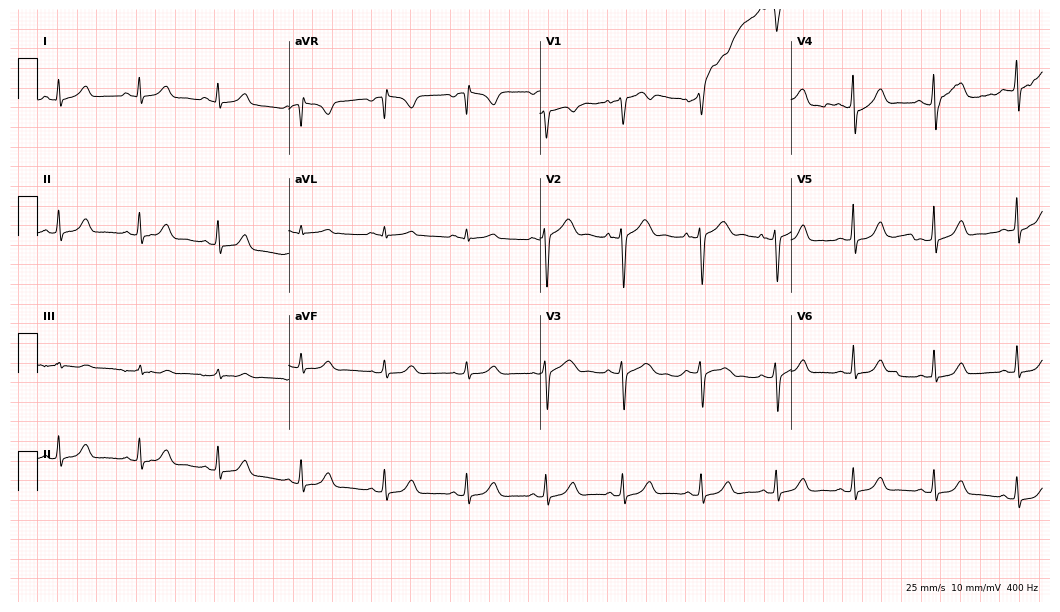
Resting 12-lead electrocardiogram (10.2-second recording at 400 Hz). Patient: a 29-year-old female. Read as a normal ECG.